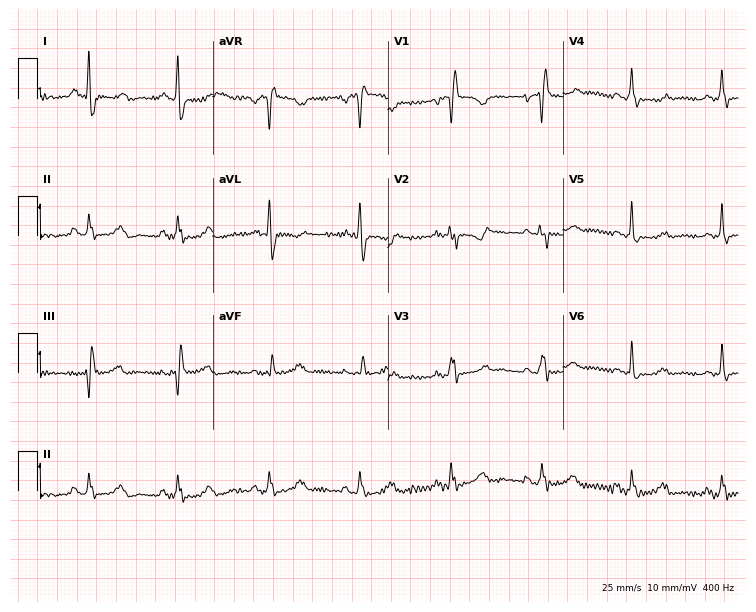
Standard 12-lead ECG recorded from a 26-year-old woman. None of these six findings is recorded: first-degree AV block, right bundle branch block (RBBB), left bundle branch block (LBBB), sinus bradycardia, atrial fibrillation (AF), sinus tachycardia. Only these six findings were labelled.